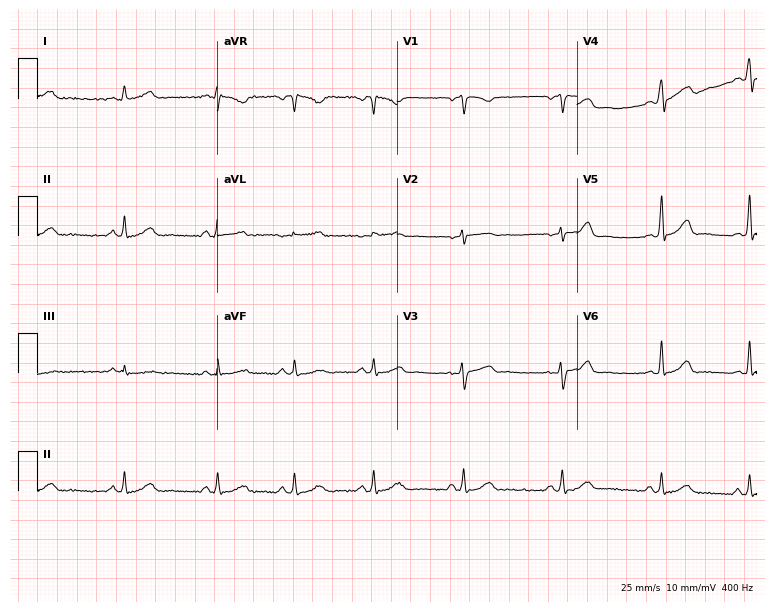
Standard 12-lead ECG recorded from a woman, 36 years old. None of these six findings is recorded: first-degree AV block, right bundle branch block (RBBB), left bundle branch block (LBBB), sinus bradycardia, atrial fibrillation (AF), sinus tachycardia. Other findings, if any, are not listed.